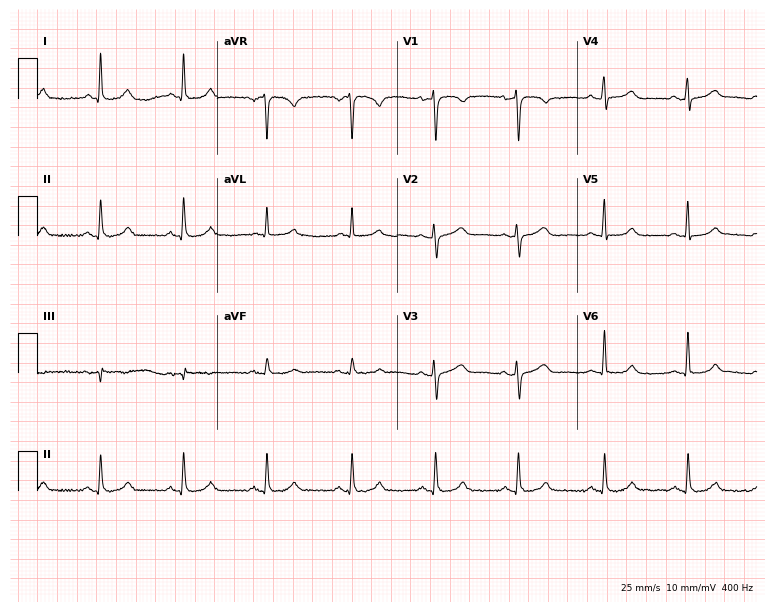
12-lead ECG from a woman, 44 years old (7.3-second recording at 400 Hz). No first-degree AV block, right bundle branch block, left bundle branch block, sinus bradycardia, atrial fibrillation or sinus tachycardia recorded for this tracing.